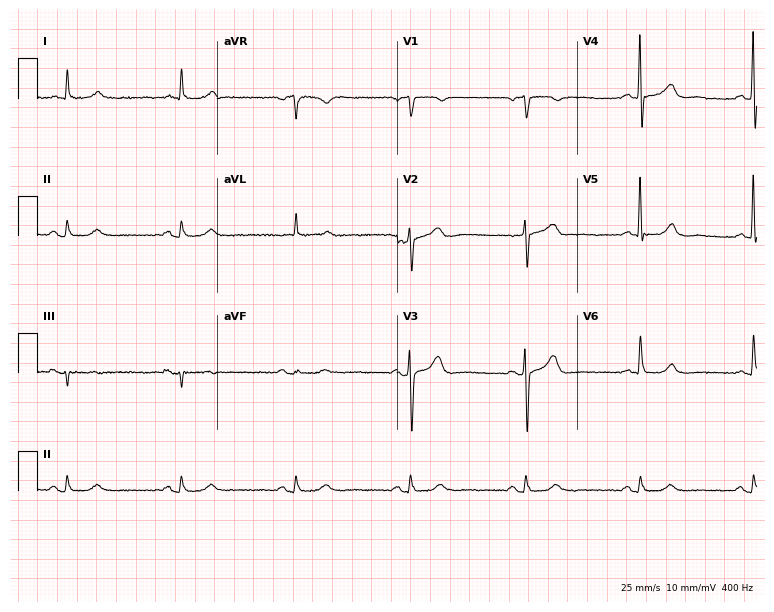
Resting 12-lead electrocardiogram. Patient: a man, 72 years old. None of these six findings is recorded: first-degree AV block, right bundle branch block (RBBB), left bundle branch block (LBBB), sinus bradycardia, atrial fibrillation (AF), sinus tachycardia.